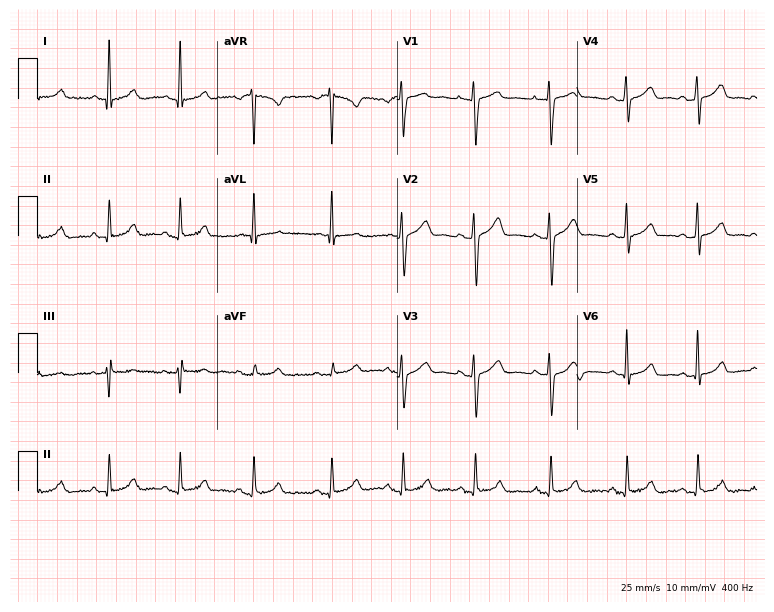
12-lead ECG from a 39-year-old female patient. Labelled as a normal ECG.